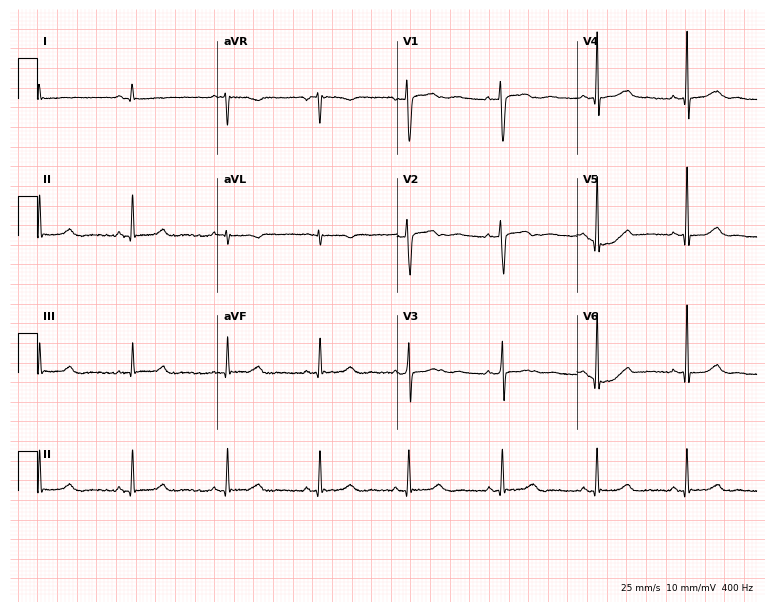
12-lead ECG from a 37-year-old female patient. Screened for six findings — first-degree AV block, right bundle branch block (RBBB), left bundle branch block (LBBB), sinus bradycardia, atrial fibrillation (AF), sinus tachycardia — none is recorded. Findings outside these six are not listed.